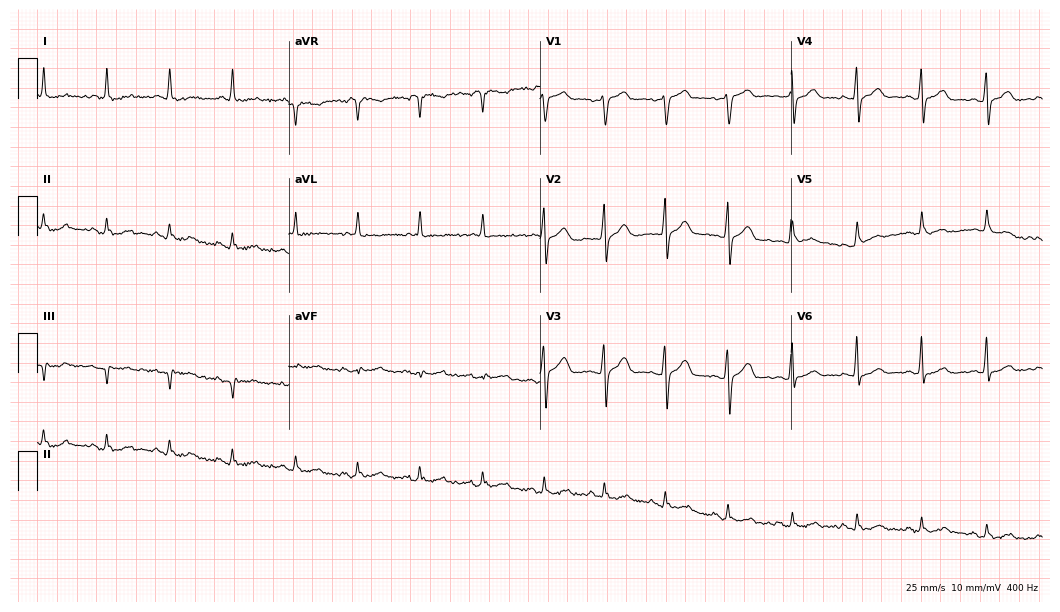
12-lead ECG from a 55-year-old man. No first-degree AV block, right bundle branch block, left bundle branch block, sinus bradycardia, atrial fibrillation or sinus tachycardia recorded for this tracing.